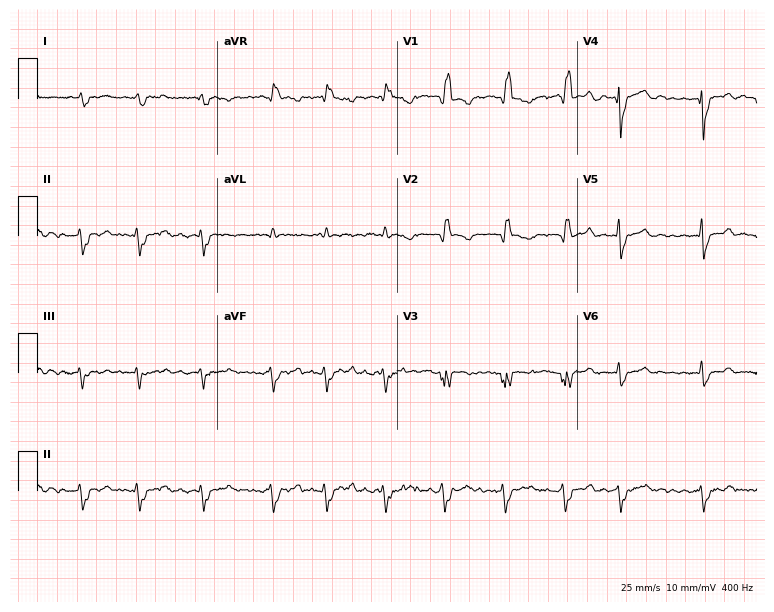
Resting 12-lead electrocardiogram (7.3-second recording at 400 Hz). Patient: a male, 72 years old. The tracing shows atrial fibrillation.